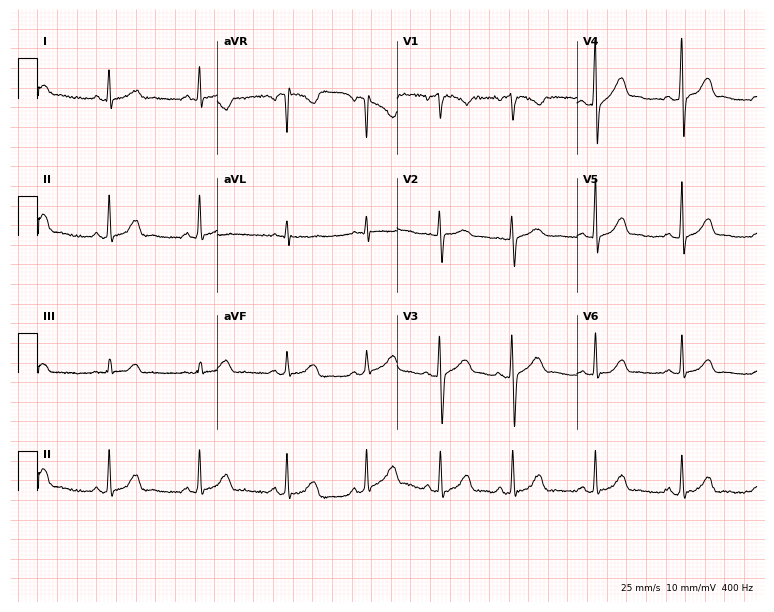
ECG (7.3-second recording at 400 Hz) — a woman, 35 years old. Labelled as a normal ECG.